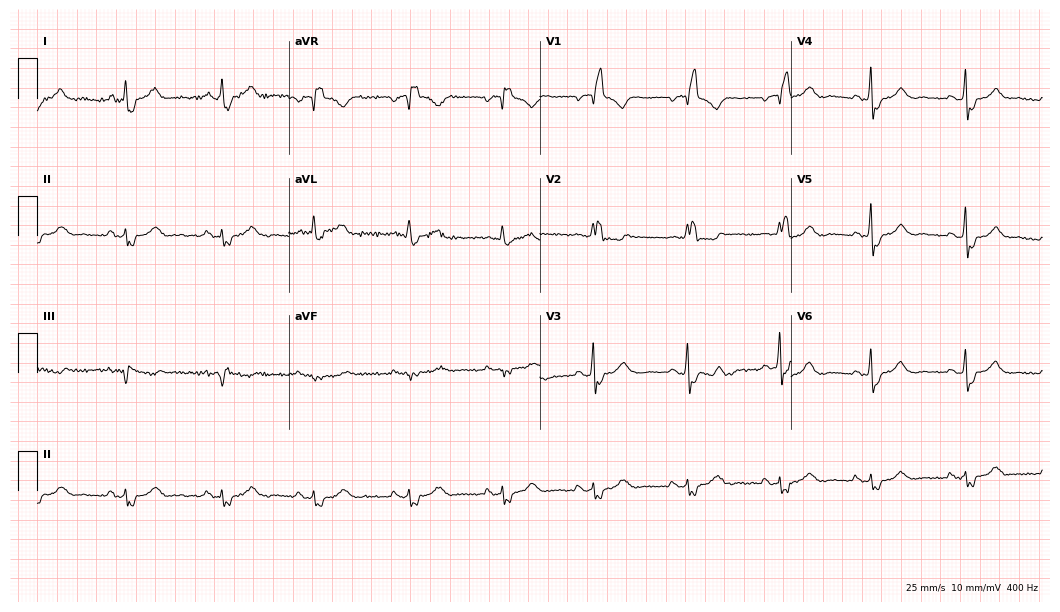
Standard 12-lead ECG recorded from a woman, 69 years old (10.2-second recording at 400 Hz). The tracing shows right bundle branch block.